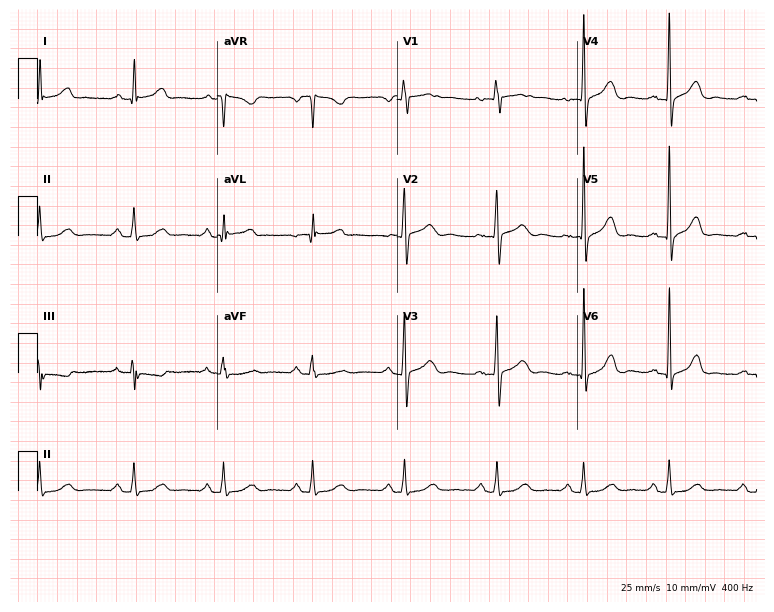
ECG (7.3-second recording at 400 Hz) — a male, 61 years old. Screened for six findings — first-degree AV block, right bundle branch block, left bundle branch block, sinus bradycardia, atrial fibrillation, sinus tachycardia — none is recorded. Other findings, if any, are not listed.